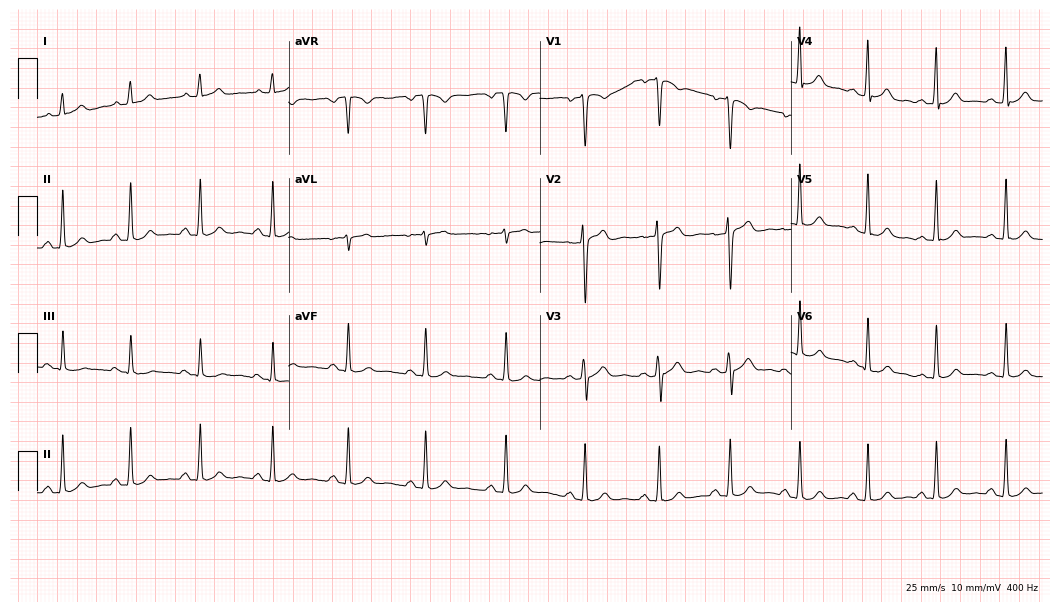
Standard 12-lead ECG recorded from a male, 30 years old (10.2-second recording at 400 Hz). Read as a normal ECG.